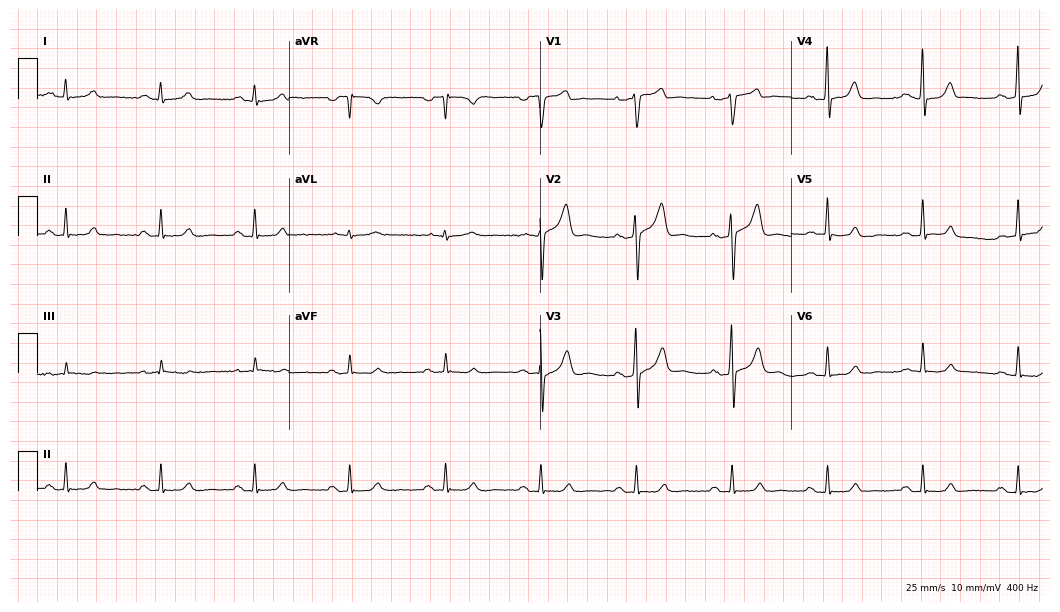
ECG — a male, 59 years old. Labelled as a normal ECG.